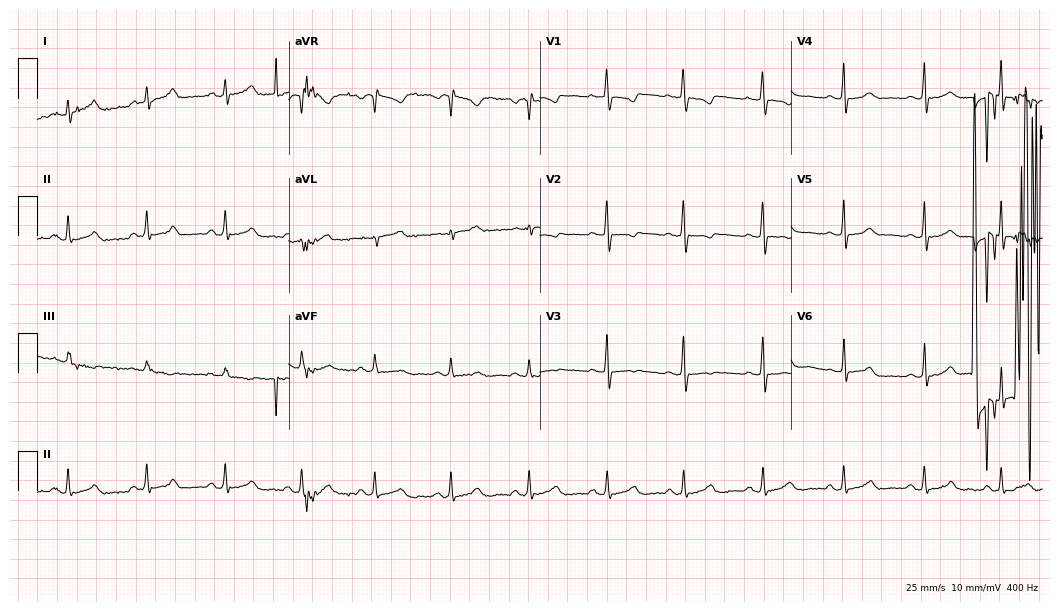
12-lead ECG (10.2-second recording at 400 Hz) from a 20-year-old woman. Screened for six findings — first-degree AV block, right bundle branch block, left bundle branch block, sinus bradycardia, atrial fibrillation, sinus tachycardia — none is recorded.